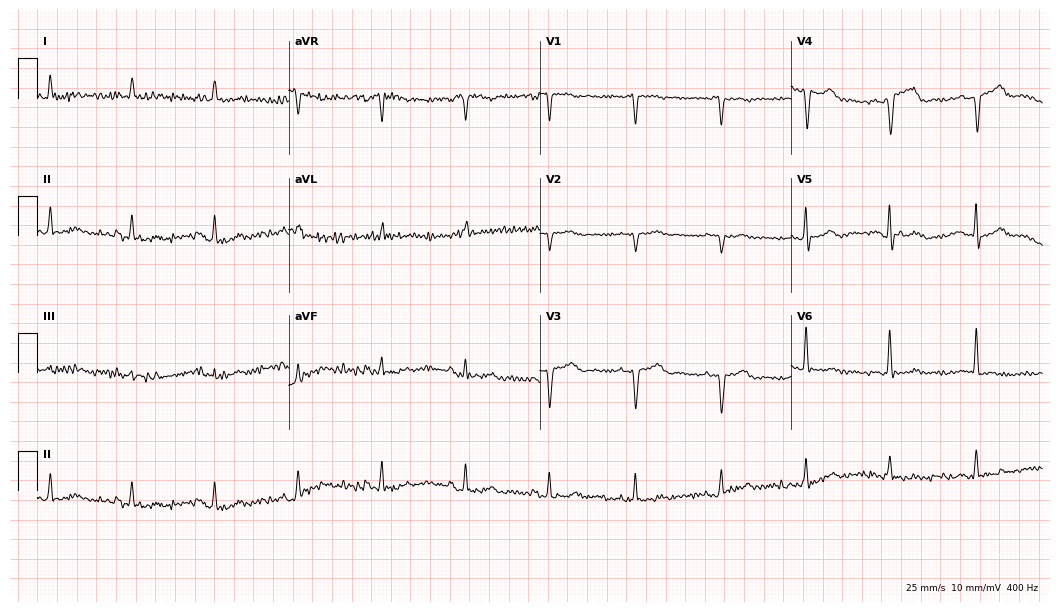
12-lead ECG from a 68-year-old male (10.2-second recording at 400 Hz). Recorded interpretation: within normal limits.